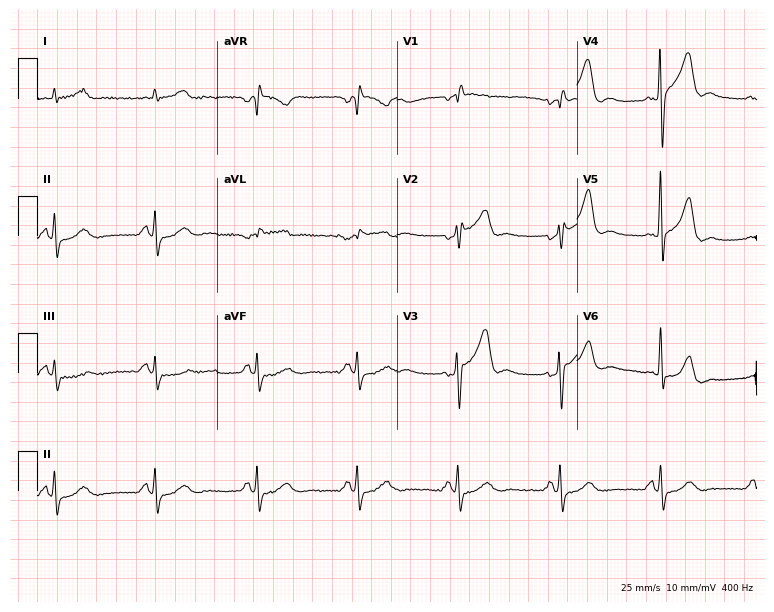
Electrocardiogram (7.3-second recording at 400 Hz), a man, 64 years old. Of the six screened findings (first-degree AV block, right bundle branch block (RBBB), left bundle branch block (LBBB), sinus bradycardia, atrial fibrillation (AF), sinus tachycardia), none is recorded. Only these six findings were labelled.